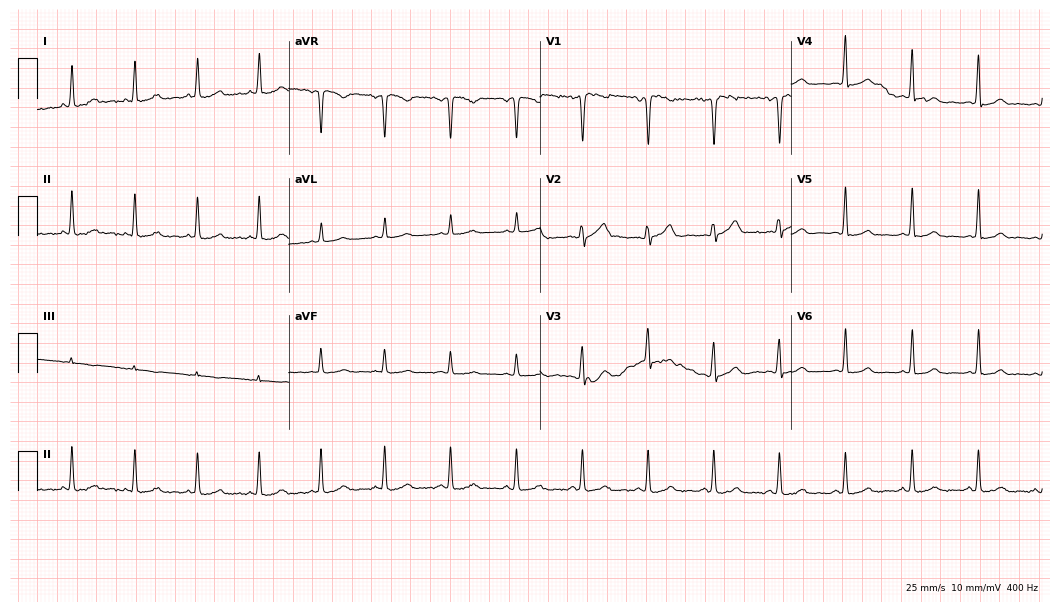
12-lead ECG from a female patient, 43 years old. Labelled as a normal ECG.